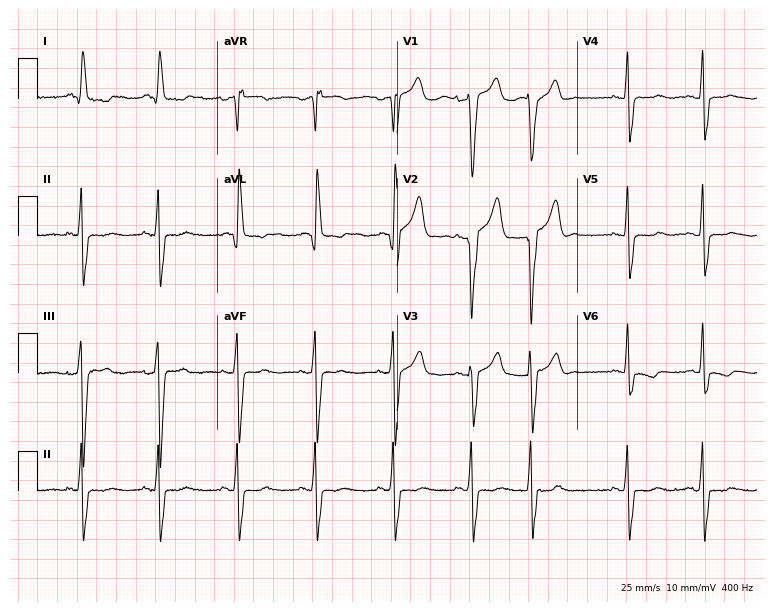
Electrocardiogram, a 52-year-old man. Of the six screened findings (first-degree AV block, right bundle branch block (RBBB), left bundle branch block (LBBB), sinus bradycardia, atrial fibrillation (AF), sinus tachycardia), none is recorded. Findings outside these six are not listed.